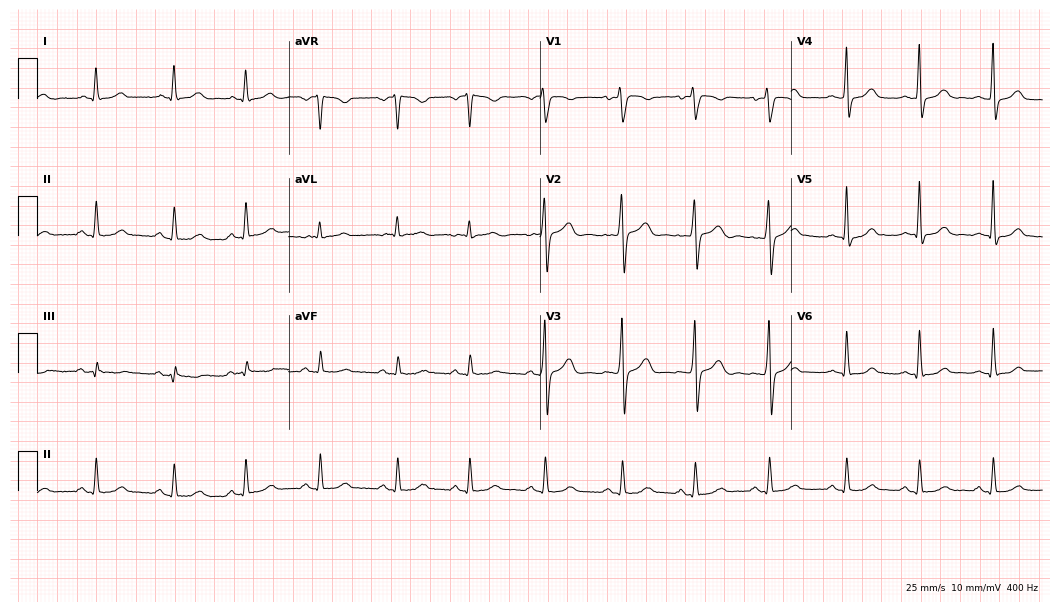
ECG — a 43-year-old female. Screened for six findings — first-degree AV block, right bundle branch block (RBBB), left bundle branch block (LBBB), sinus bradycardia, atrial fibrillation (AF), sinus tachycardia — none is recorded.